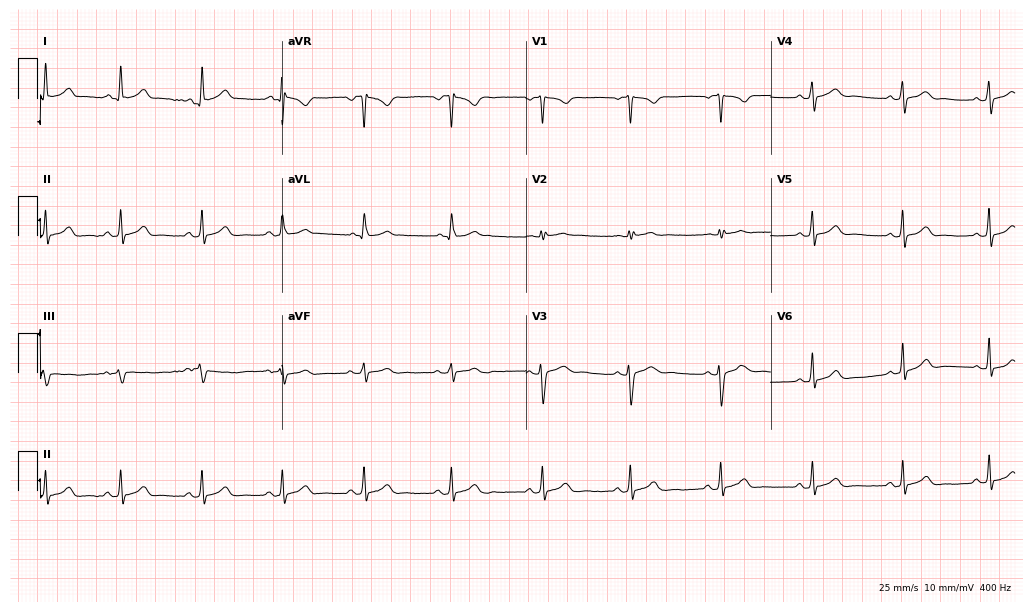
12-lead ECG from a woman, 24 years old (10-second recording at 400 Hz). Recorded interpretation: within normal limits.